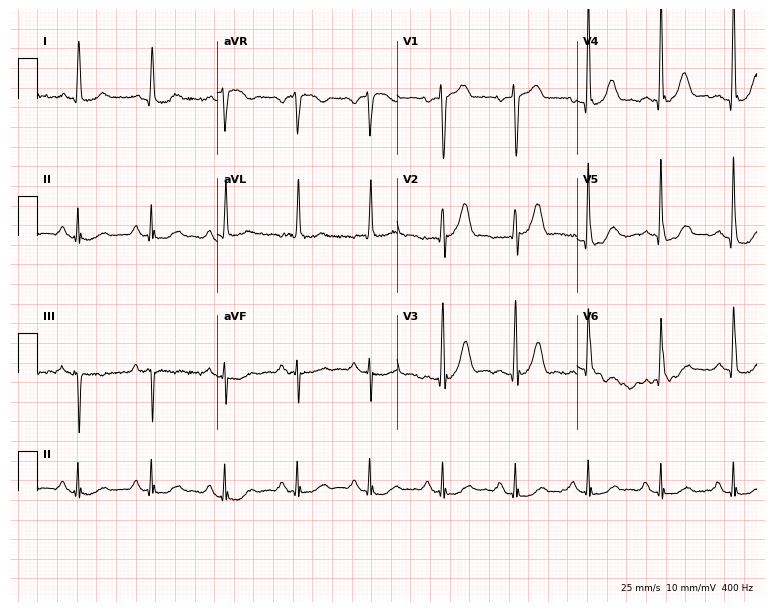
Electrocardiogram (7.3-second recording at 400 Hz), a 72-year-old male. Overall reading on record: normal ECG.